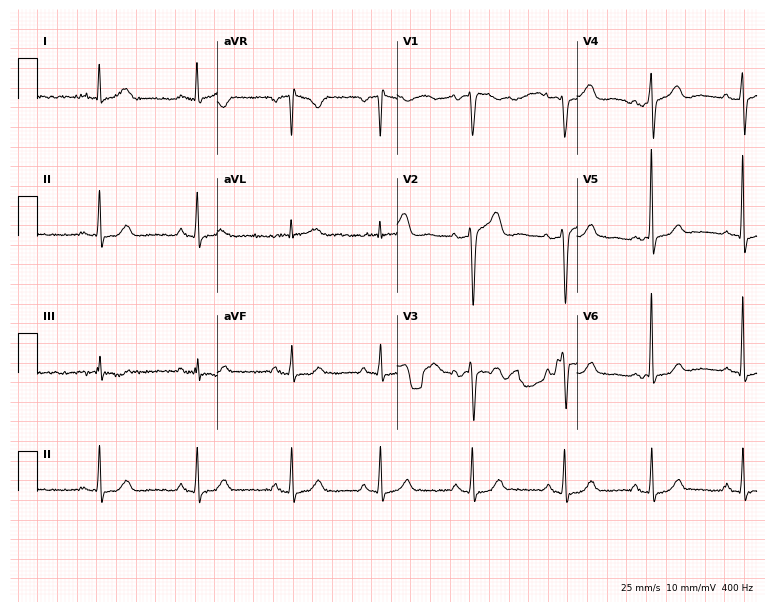
Electrocardiogram, a female patient, 73 years old. Overall reading on record: normal ECG.